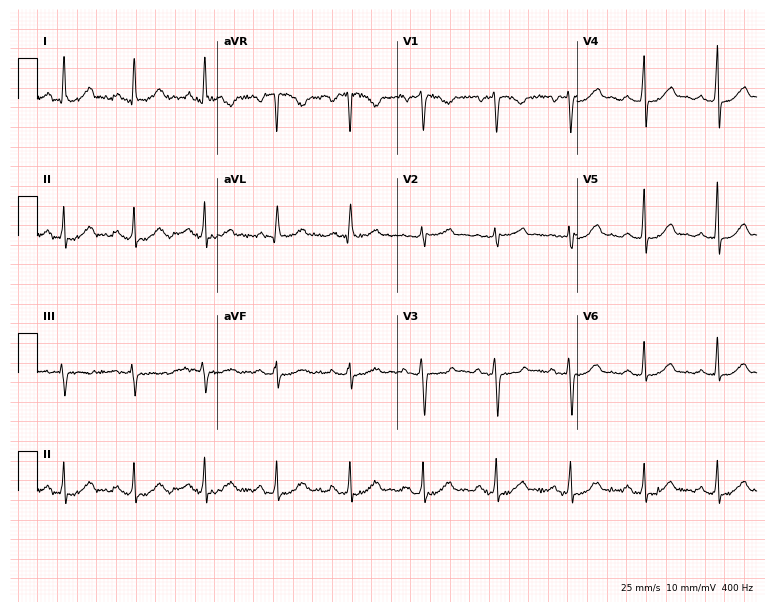
Resting 12-lead electrocardiogram. Patient: a female, 51 years old. None of these six findings is recorded: first-degree AV block, right bundle branch block, left bundle branch block, sinus bradycardia, atrial fibrillation, sinus tachycardia. Other findings, if any, are not listed.